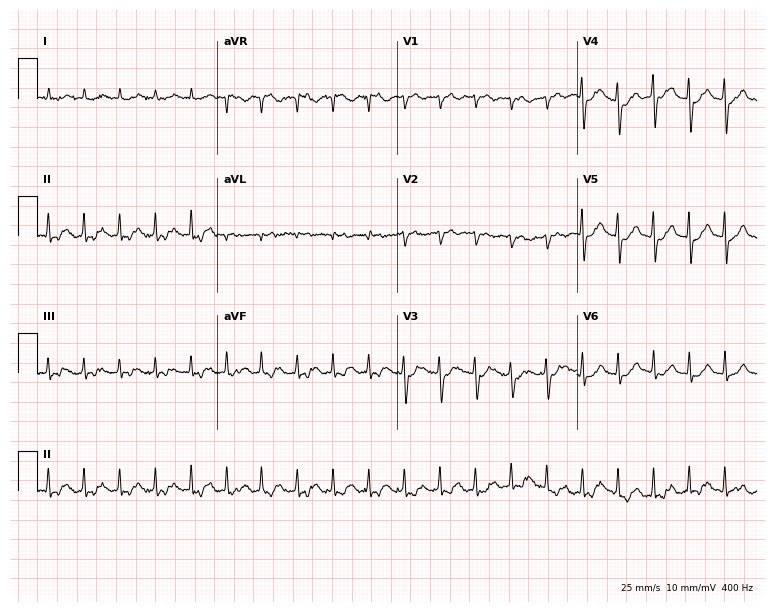
12-lead ECG from a male patient, 81 years old. Findings include sinus tachycardia (a sinus rate of 100 beats per minute or more).